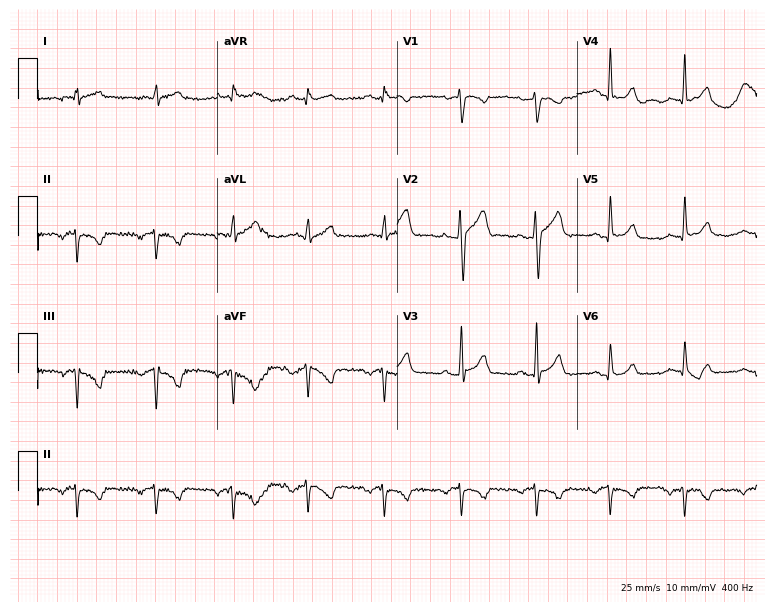
ECG (7.3-second recording at 400 Hz) — a male patient, 32 years old. Screened for six findings — first-degree AV block, right bundle branch block (RBBB), left bundle branch block (LBBB), sinus bradycardia, atrial fibrillation (AF), sinus tachycardia — none is recorded. Other findings, if any, are not listed.